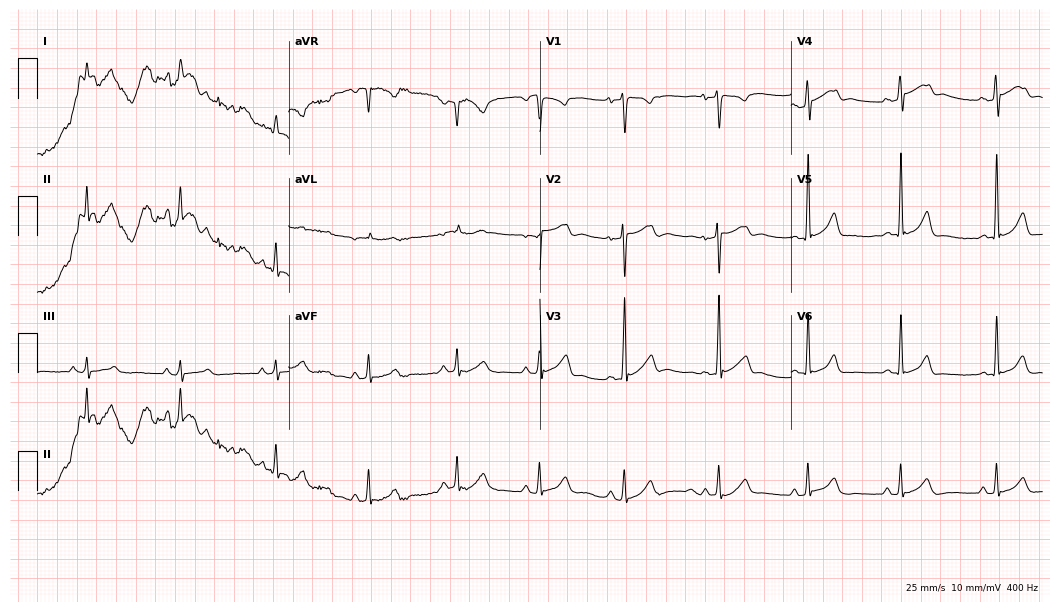
Electrocardiogram (10.2-second recording at 400 Hz), a man, 23 years old. Overall reading on record: normal ECG.